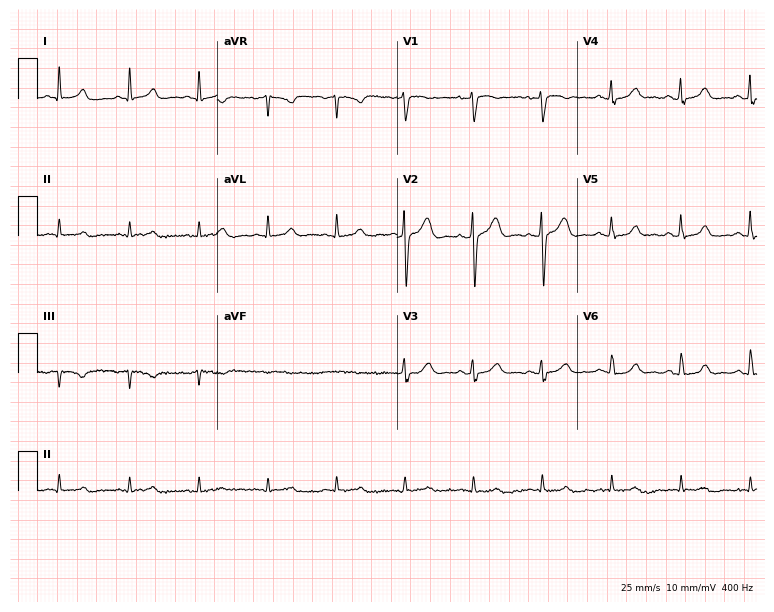
Standard 12-lead ECG recorded from a male, 56 years old. None of these six findings is recorded: first-degree AV block, right bundle branch block, left bundle branch block, sinus bradycardia, atrial fibrillation, sinus tachycardia.